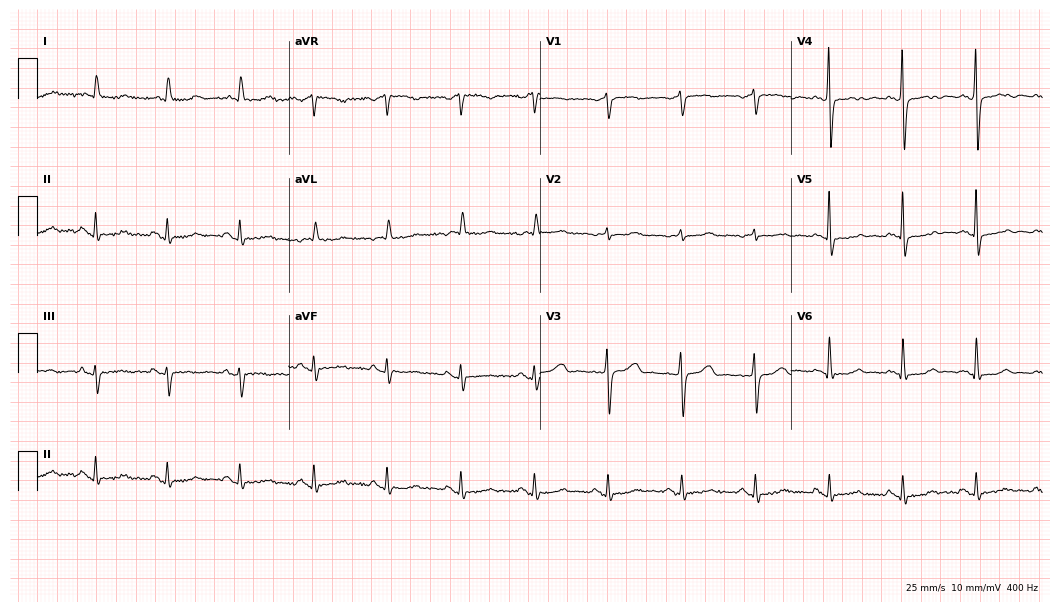
12-lead ECG from a 68-year-old woman (10.2-second recording at 400 Hz). Recorded interpretation: within normal limits.